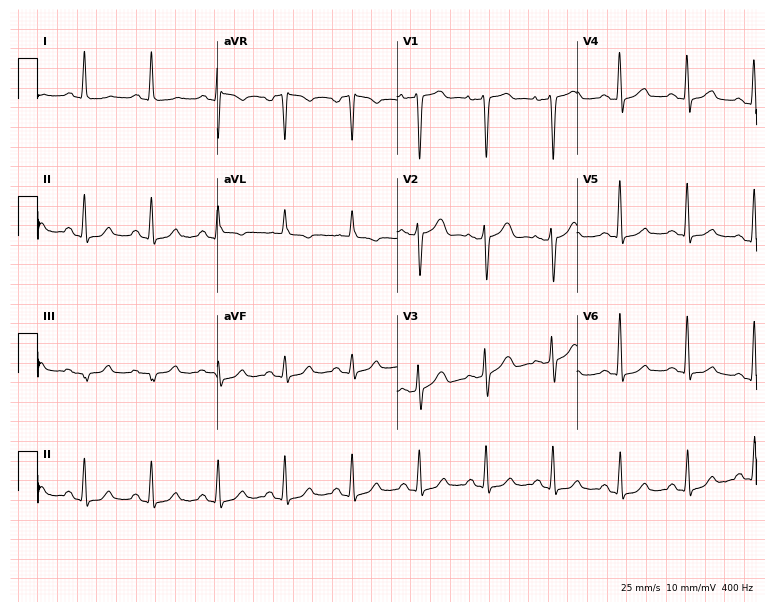
ECG (7.3-second recording at 400 Hz) — a female, 49 years old. Screened for six findings — first-degree AV block, right bundle branch block, left bundle branch block, sinus bradycardia, atrial fibrillation, sinus tachycardia — none is recorded.